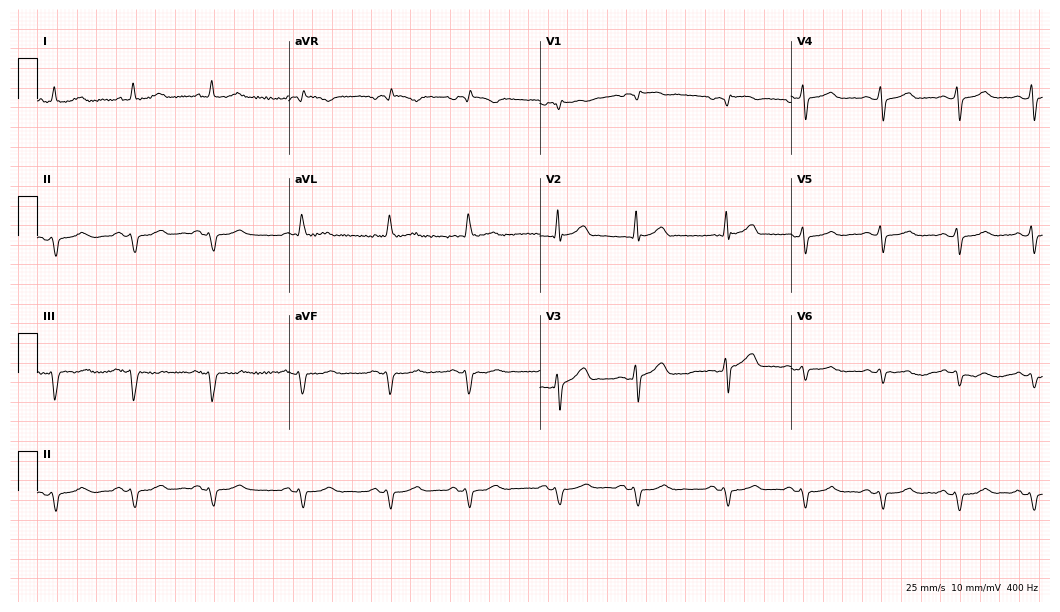
Standard 12-lead ECG recorded from an 83-year-old man. None of these six findings is recorded: first-degree AV block, right bundle branch block, left bundle branch block, sinus bradycardia, atrial fibrillation, sinus tachycardia. Only these six findings were labelled.